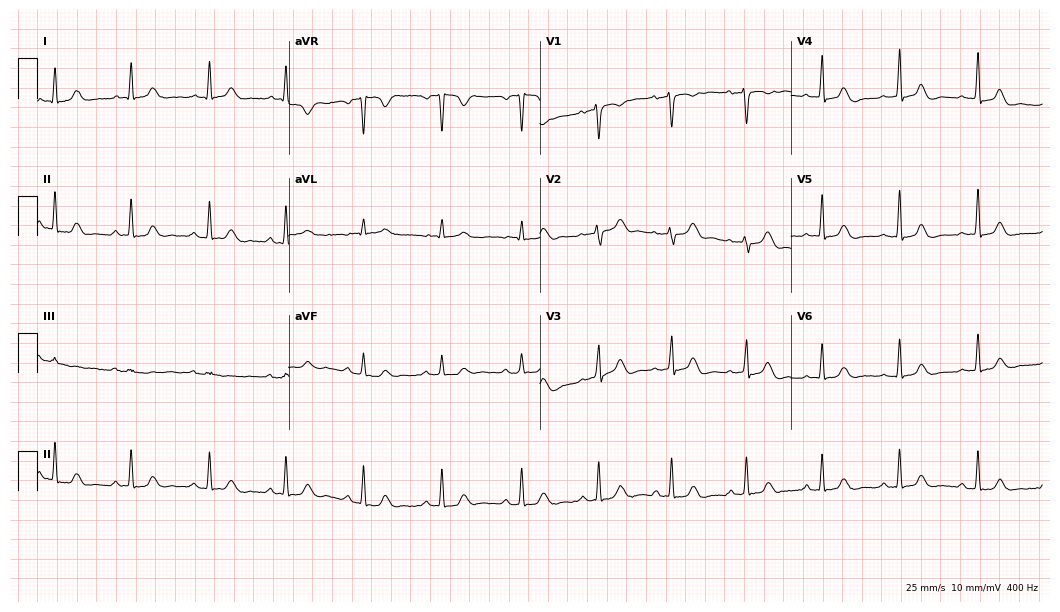
Resting 12-lead electrocardiogram. Patient: a 44-year-old woman. Read as a normal ECG.